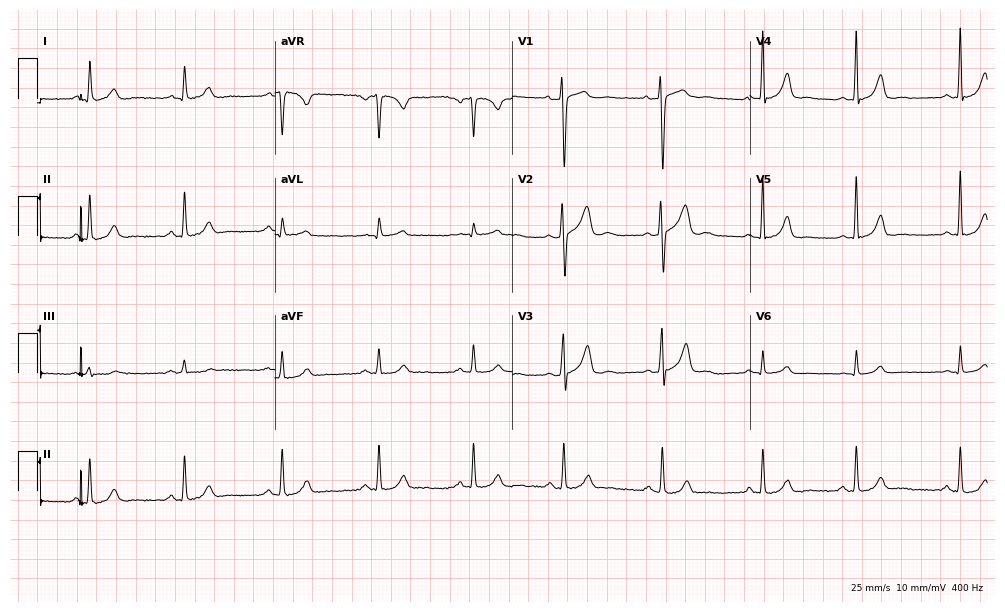
Electrocardiogram (9.7-second recording at 400 Hz), a 28-year-old female. Overall reading on record: normal ECG.